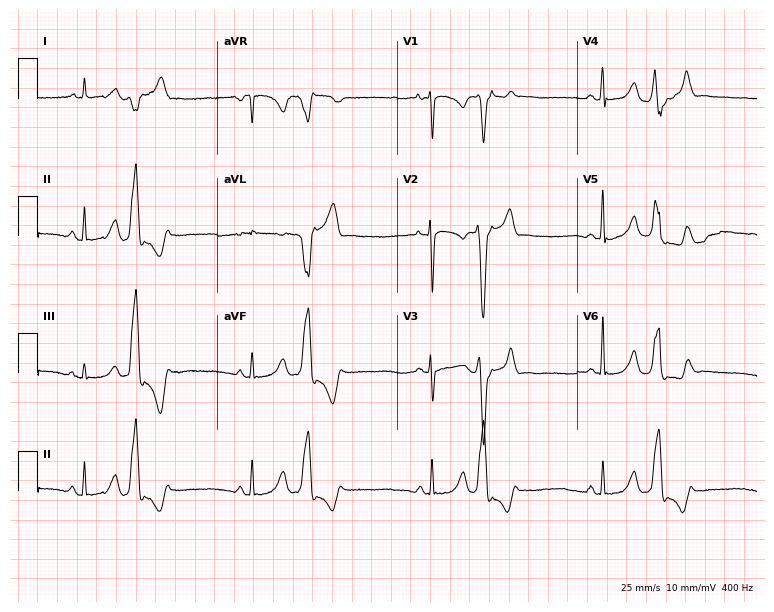
ECG — a 28-year-old female patient. Screened for six findings — first-degree AV block, right bundle branch block, left bundle branch block, sinus bradycardia, atrial fibrillation, sinus tachycardia — none is recorded. Only these six findings were labelled.